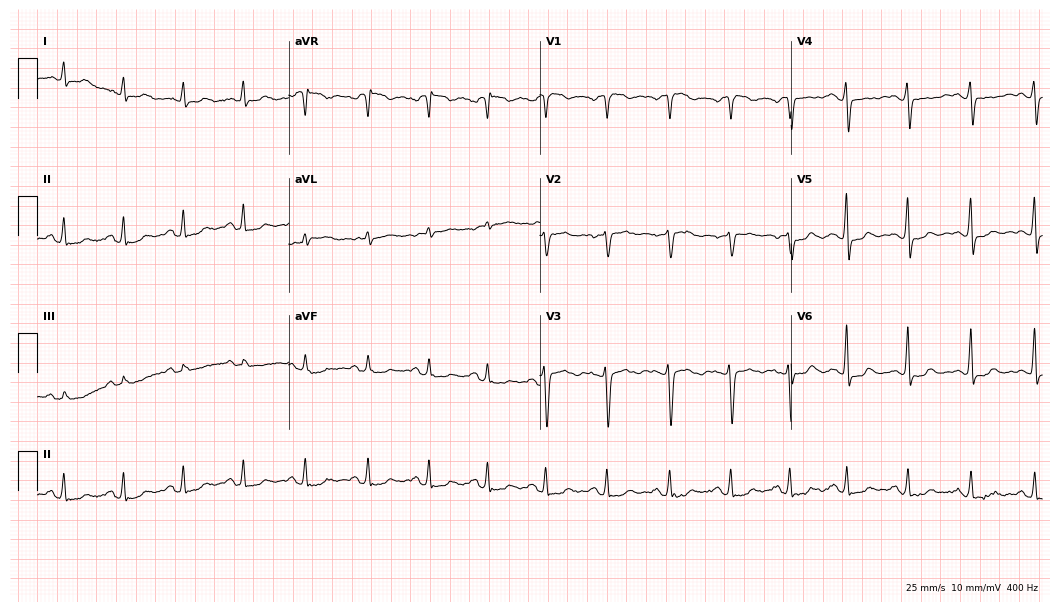
Electrocardiogram, a 28-year-old female patient. Overall reading on record: normal ECG.